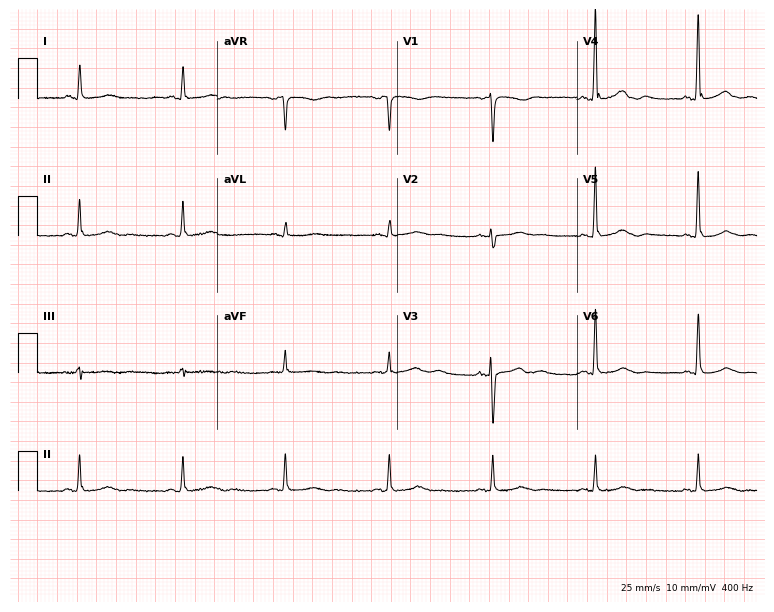
12-lead ECG (7.3-second recording at 400 Hz) from an 82-year-old female patient. Screened for six findings — first-degree AV block, right bundle branch block, left bundle branch block, sinus bradycardia, atrial fibrillation, sinus tachycardia — none is recorded.